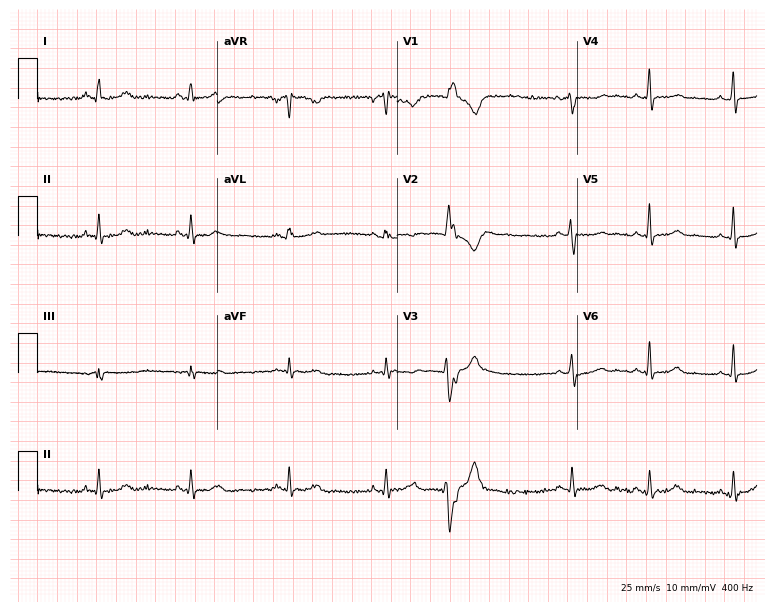
Resting 12-lead electrocardiogram. Patient: a 39-year-old woman. None of these six findings is recorded: first-degree AV block, right bundle branch block, left bundle branch block, sinus bradycardia, atrial fibrillation, sinus tachycardia. Only these six findings were labelled.